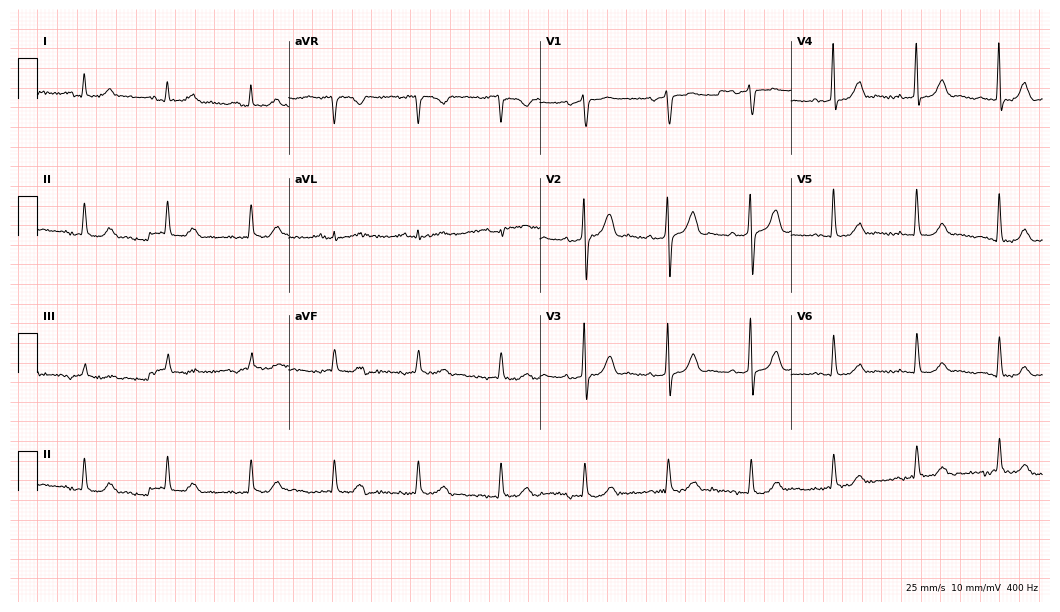
12-lead ECG from an 81-year-old man. Labelled as a normal ECG.